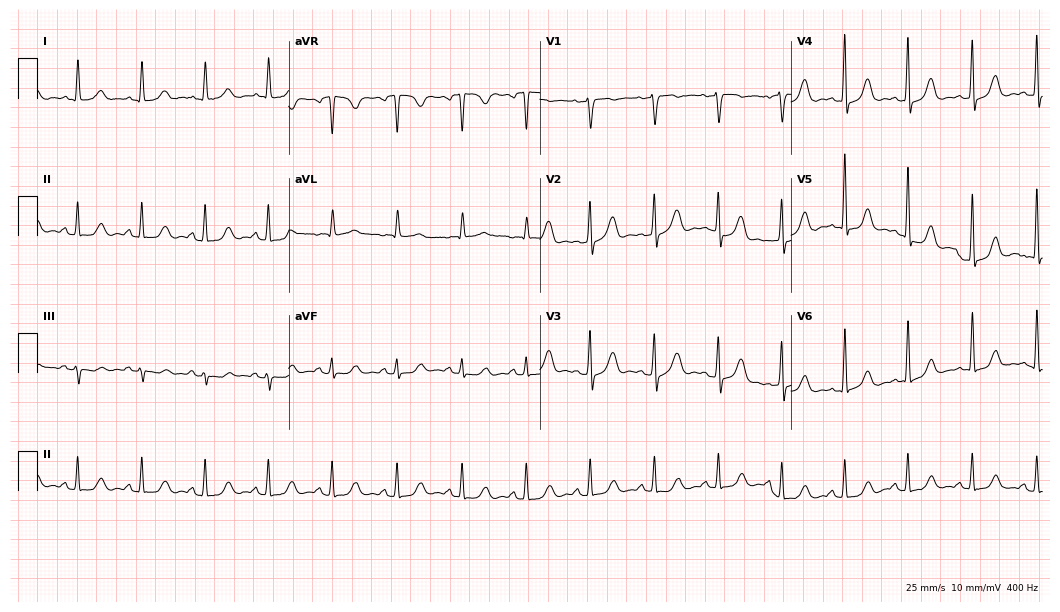
12-lead ECG (10.2-second recording at 400 Hz) from an 80-year-old woman. Labelled as a normal ECG.